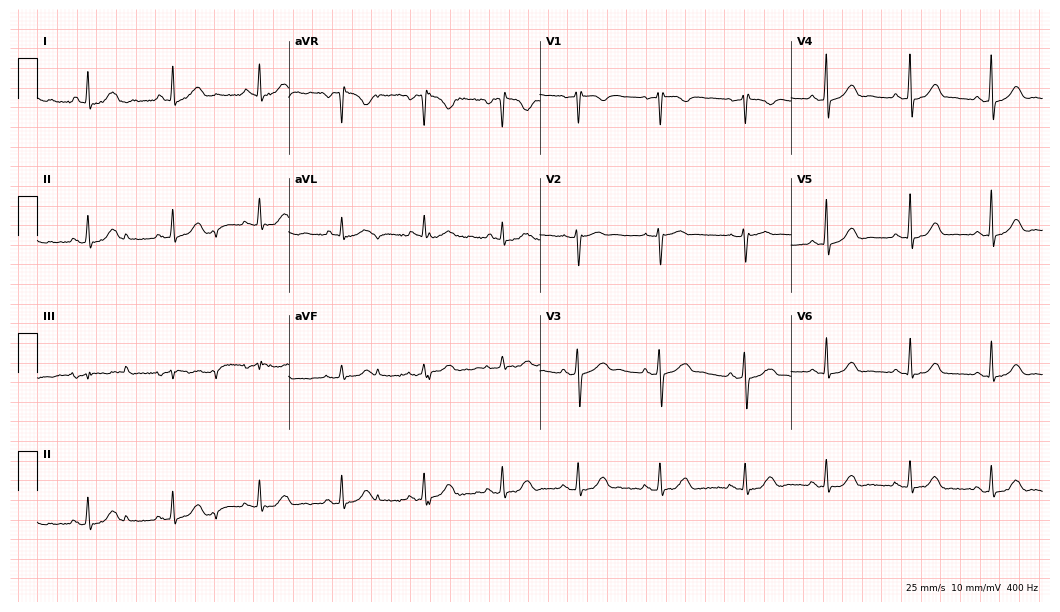
12-lead ECG from a 40-year-old woman (10.2-second recording at 400 Hz). No first-degree AV block, right bundle branch block, left bundle branch block, sinus bradycardia, atrial fibrillation or sinus tachycardia recorded for this tracing. Only these six findings were labelled.